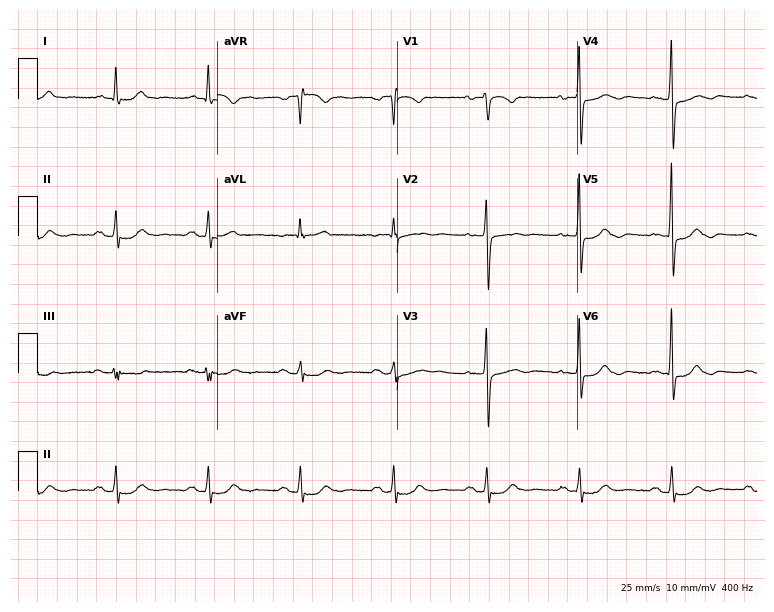
12-lead ECG from a 71-year-old woman. No first-degree AV block, right bundle branch block (RBBB), left bundle branch block (LBBB), sinus bradycardia, atrial fibrillation (AF) or sinus tachycardia recorded for this tracing.